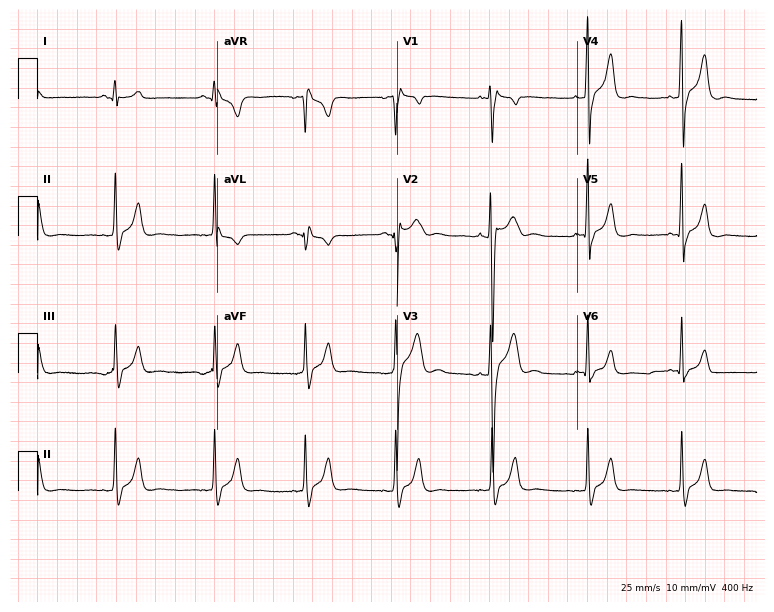
12-lead ECG from a 23-year-old male. Labelled as a normal ECG.